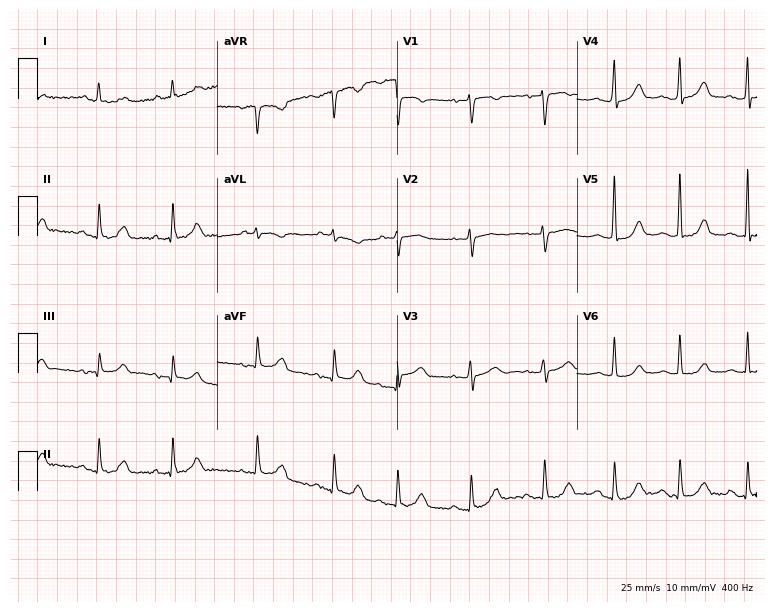
12-lead ECG from an 81-year-old female patient. No first-degree AV block, right bundle branch block, left bundle branch block, sinus bradycardia, atrial fibrillation or sinus tachycardia recorded for this tracing.